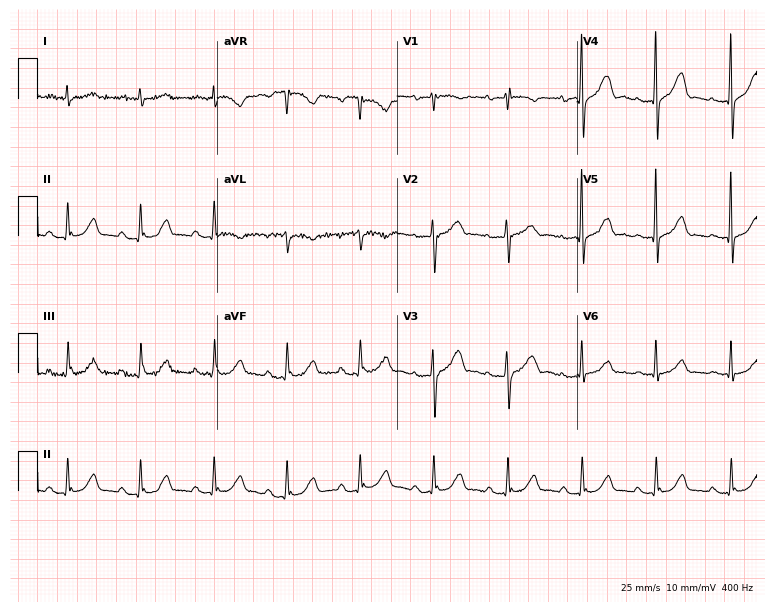
12-lead ECG from a 76-year-old female. No first-degree AV block, right bundle branch block, left bundle branch block, sinus bradycardia, atrial fibrillation or sinus tachycardia recorded for this tracing. Only these six findings were labelled.